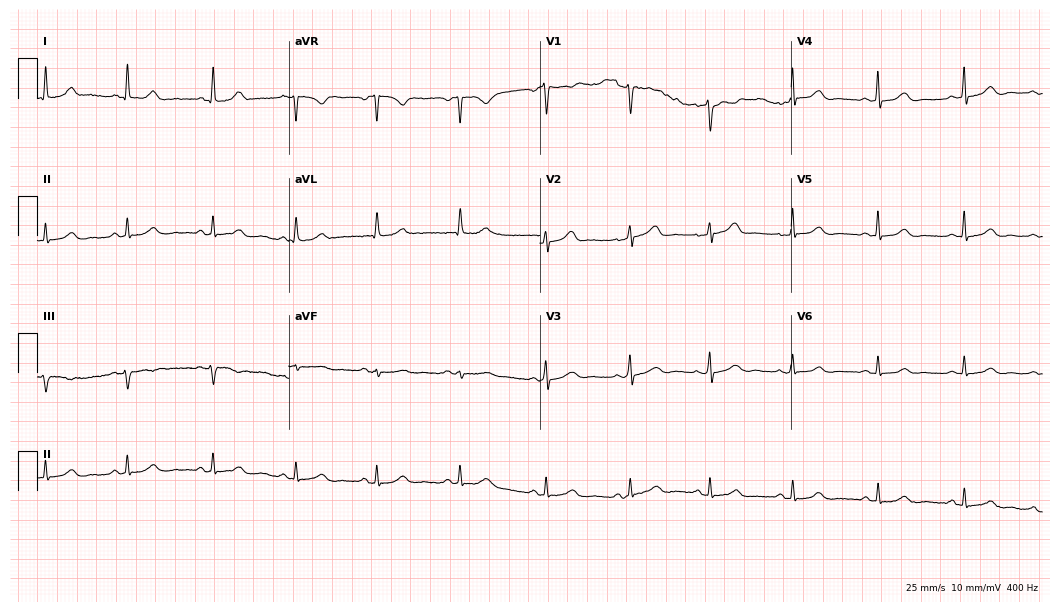
12-lead ECG from a woman, 45 years old. Recorded interpretation: within normal limits.